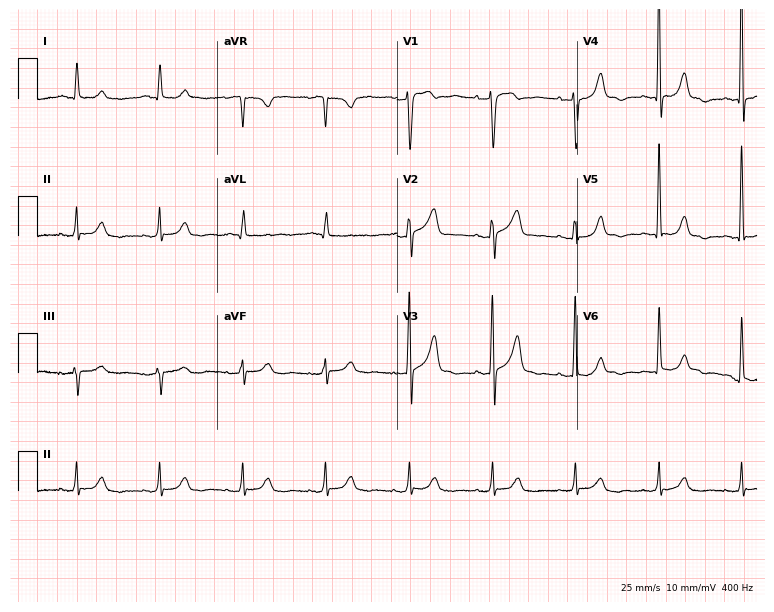
Resting 12-lead electrocardiogram. Patient: a woman, 85 years old. Read as a normal ECG.